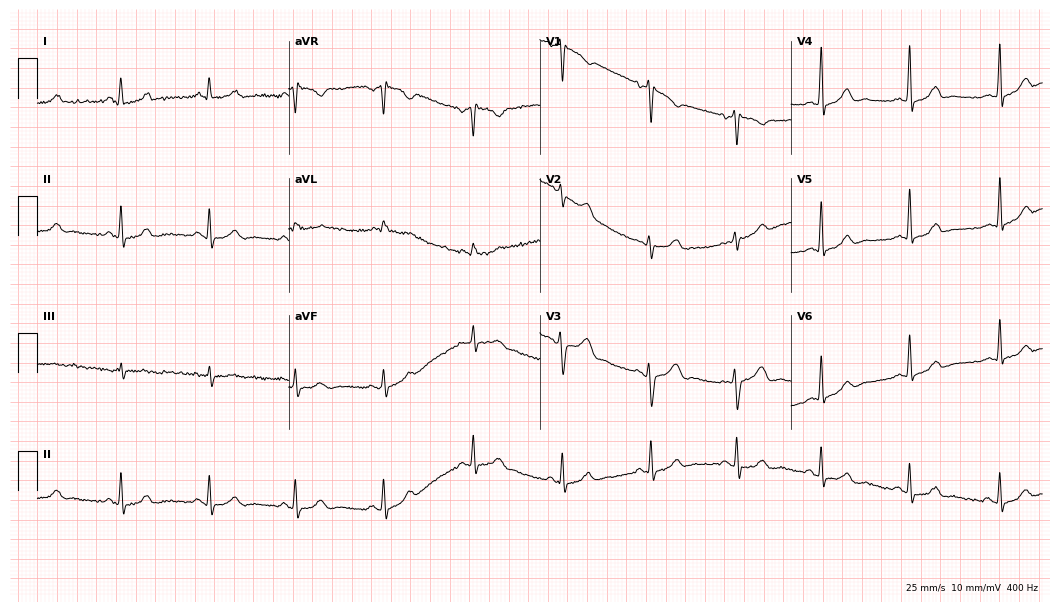
Resting 12-lead electrocardiogram (10.2-second recording at 400 Hz). Patient: a woman, 34 years old. Read as a normal ECG.